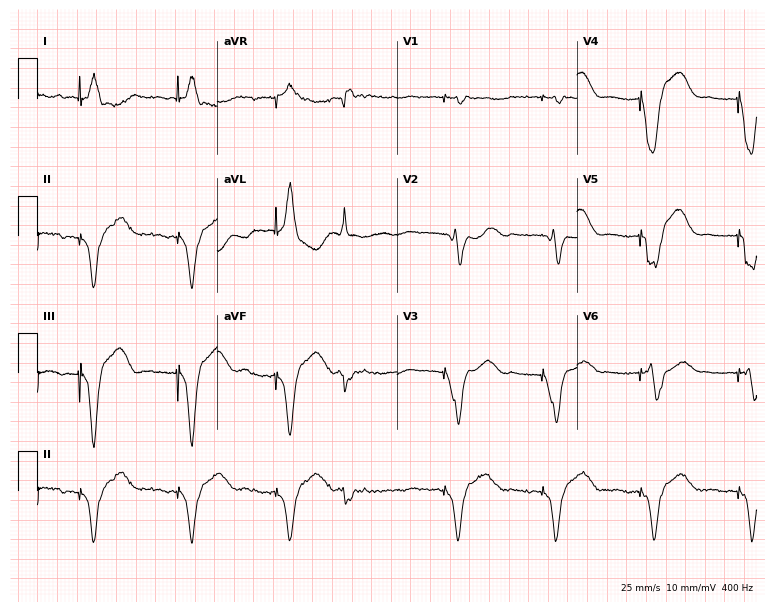
ECG (7.3-second recording at 400 Hz) — a female patient, 74 years old. Screened for six findings — first-degree AV block, right bundle branch block (RBBB), left bundle branch block (LBBB), sinus bradycardia, atrial fibrillation (AF), sinus tachycardia — none is recorded.